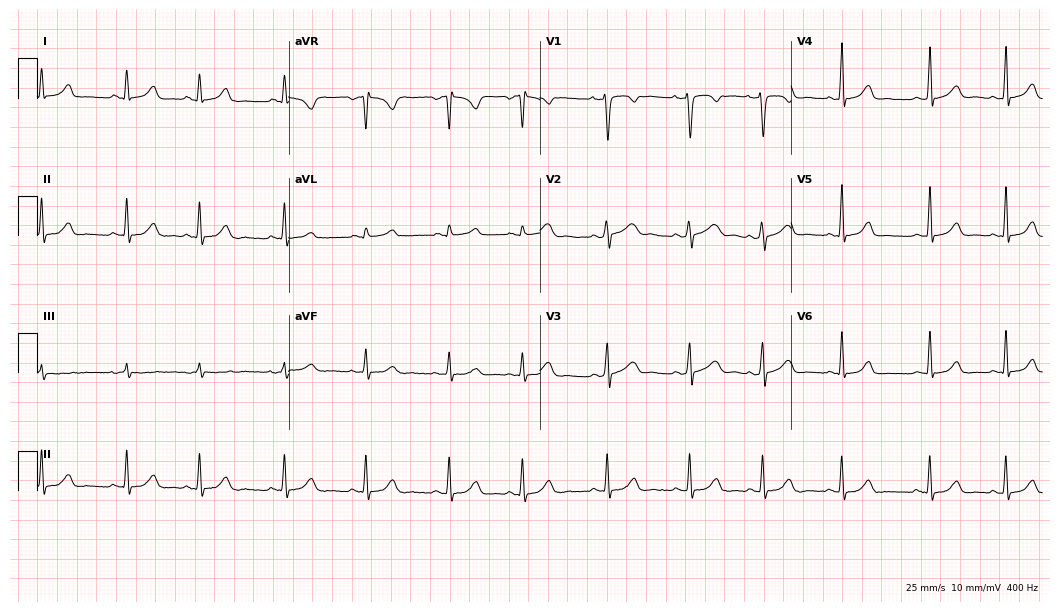
12-lead ECG (10.2-second recording at 400 Hz) from a female, 24 years old. Labelled as a normal ECG.